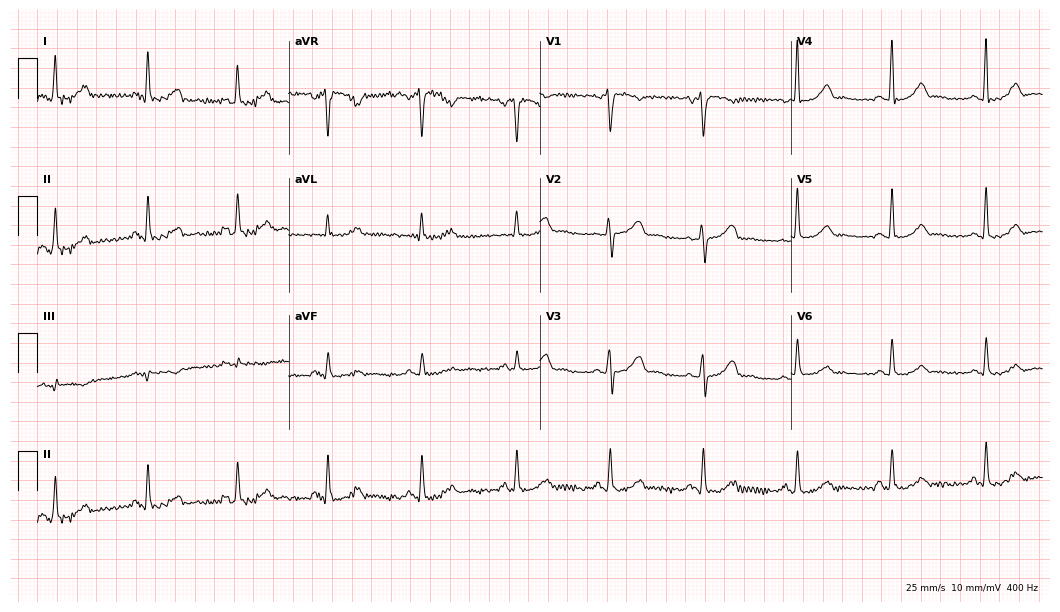
12-lead ECG from a 58-year-old woman (10.2-second recording at 400 Hz). Recorded interpretation: within normal limits.